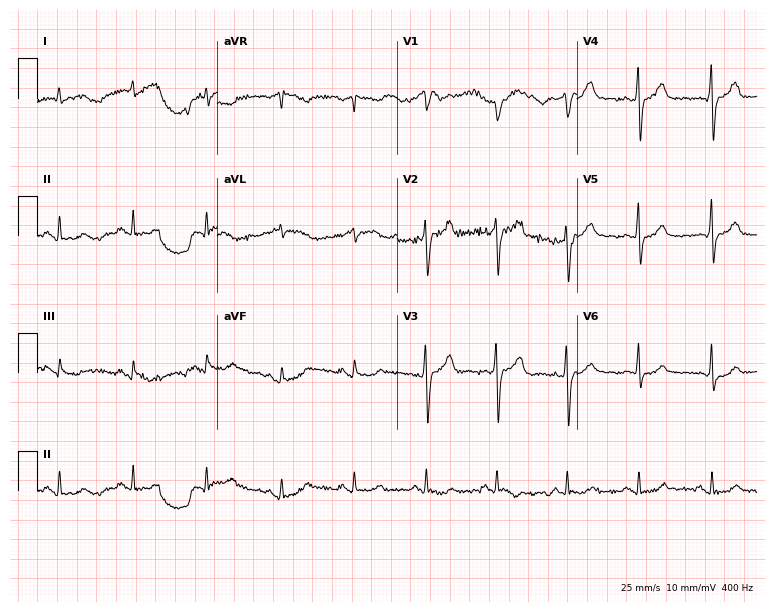
Electrocardiogram, a man, 62 years old. Of the six screened findings (first-degree AV block, right bundle branch block (RBBB), left bundle branch block (LBBB), sinus bradycardia, atrial fibrillation (AF), sinus tachycardia), none is recorded. Only these six findings were labelled.